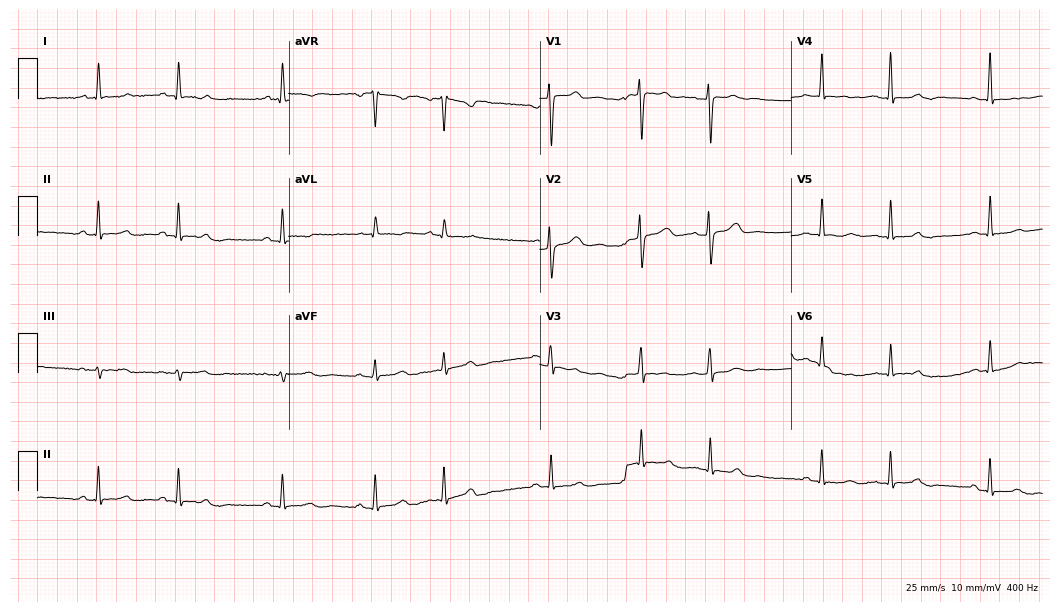
Resting 12-lead electrocardiogram. Patient: a female, 22 years old. None of these six findings is recorded: first-degree AV block, right bundle branch block, left bundle branch block, sinus bradycardia, atrial fibrillation, sinus tachycardia. Findings outside these six are not listed.